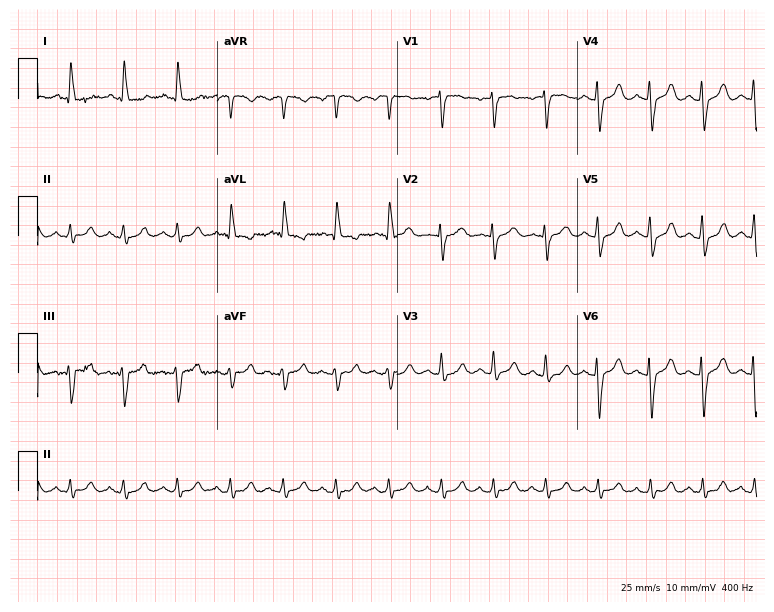
ECG — a woman, 79 years old. Findings include sinus tachycardia (a sinus rate of 100 beats per minute or more).